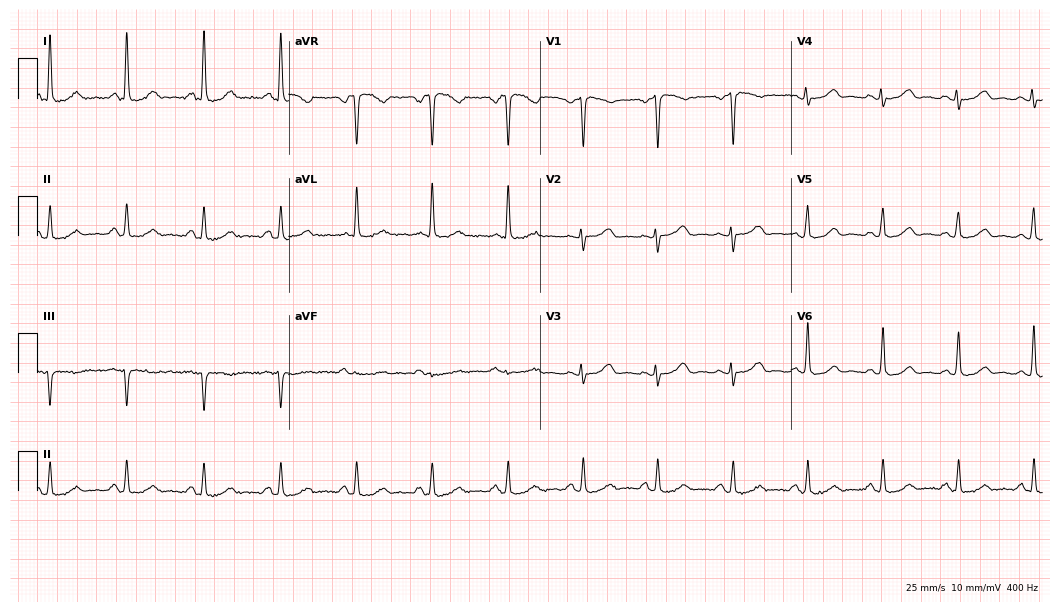
ECG (10.2-second recording at 400 Hz) — a 54-year-old female. Labelled as a normal ECG.